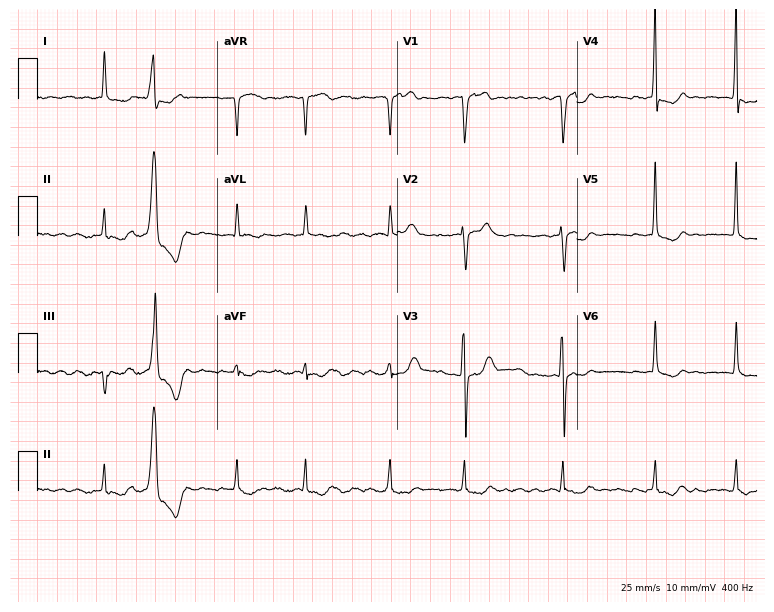
12-lead ECG (7.3-second recording at 400 Hz) from a female patient, 77 years old. Findings include atrial fibrillation.